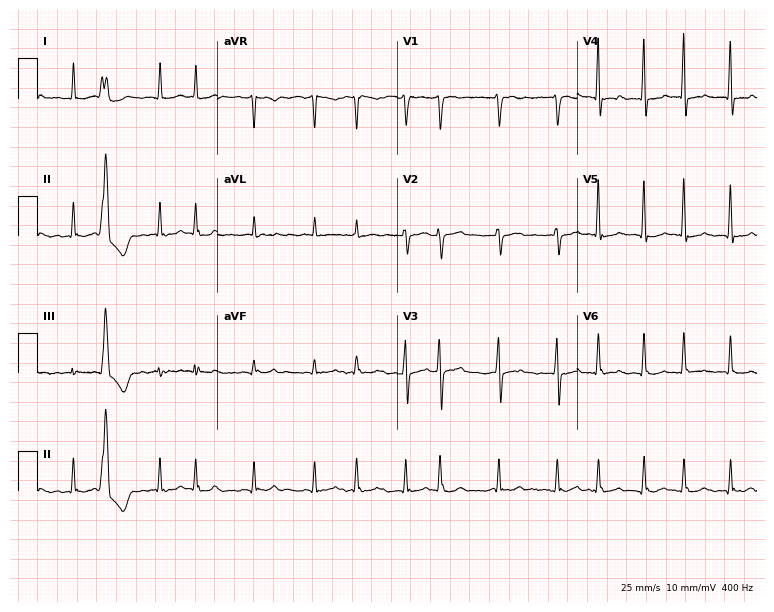
ECG — a woman, 77 years old. Findings include atrial fibrillation (AF).